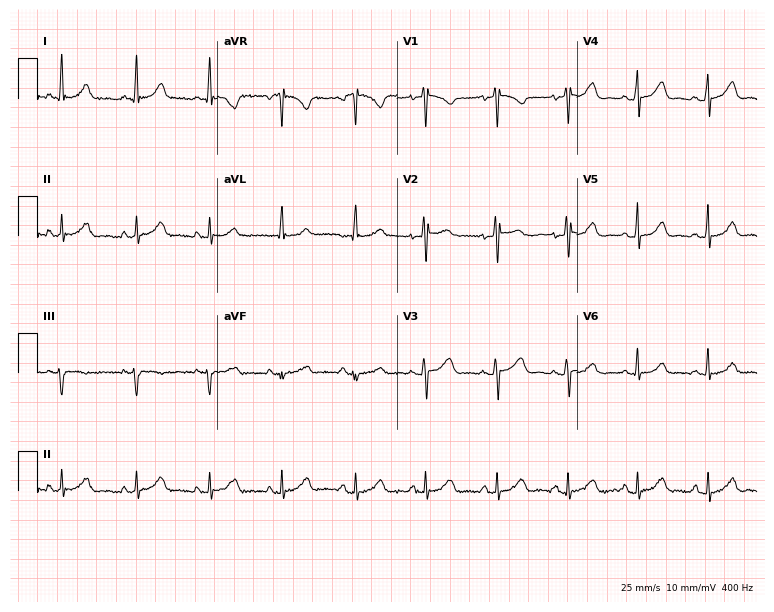
Resting 12-lead electrocardiogram. Patient: an 81-year-old female. None of these six findings is recorded: first-degree AV block, right bundle branch block, left bundle branch block, sinus bradycardia, atrial fibrillation, sinus tachycardia. Only these six findings were labelled.